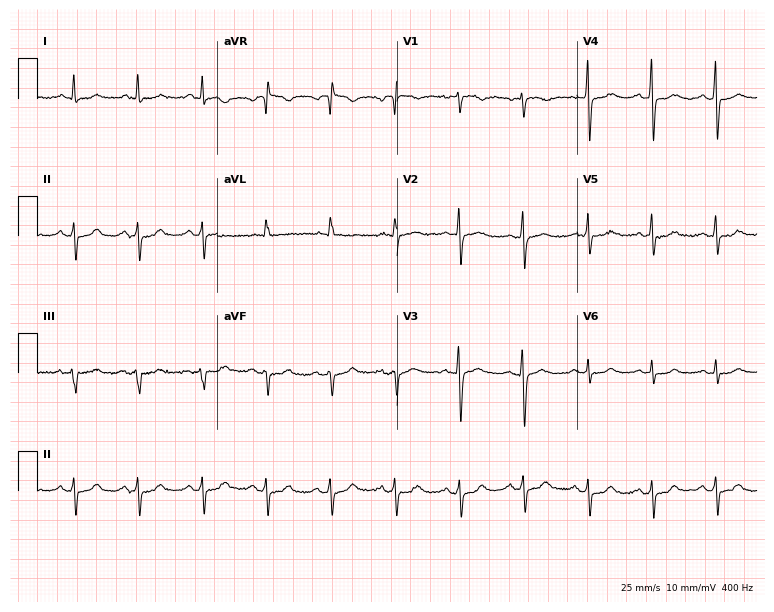
Resting 12-lead electrocardiogram (7.3-second recording at 400 Hz). Patient: a 58-year-old female. None of these six findings is recorded: first-degree AV block, right bundle branch block, left bundle branch block, sinus bradycardia, atrial fibrillation, sinus tachycardia. Other findings, if any, are not listed.